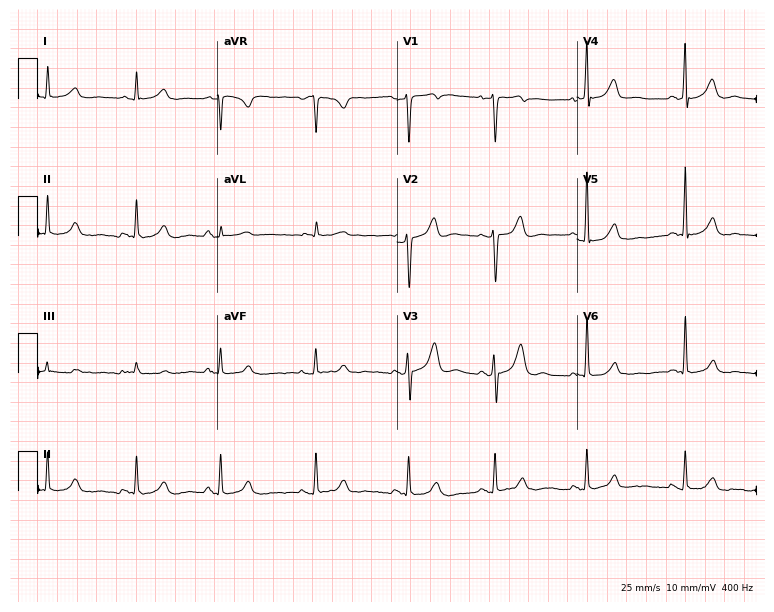
12-lead ECG from a 29-year-old female patient (7.3-second recording at 400 Hz). No first-degree AV block, right bundle branch block (RBBB), left bundle branch block (LBBB), sinus bradycardia, atrial fibrillation (AF) or sinus tachycardia recorded for this tracing. Only these six findings were labelled.